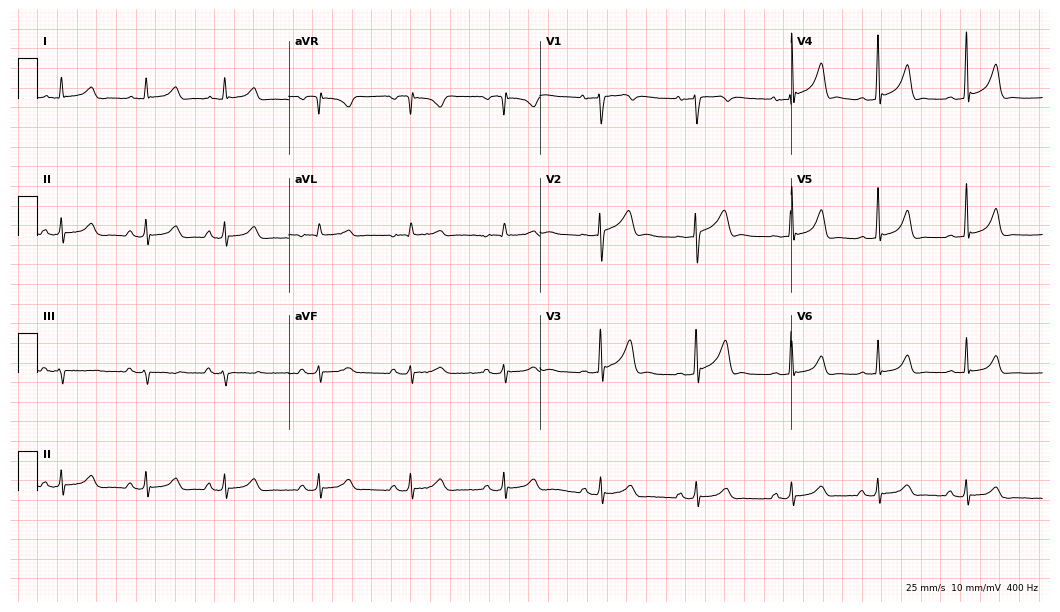
12-lead ECG (10.2-second recording at 400 Hz) from a 24-year-old male. Screened for six findings — first-degree AV block, right bundle branch block, left bundle branch block, sinus bradycardia, atrial fibrillation, sinus tachycardia — none is recorded. Other findings, if any, are not listed.